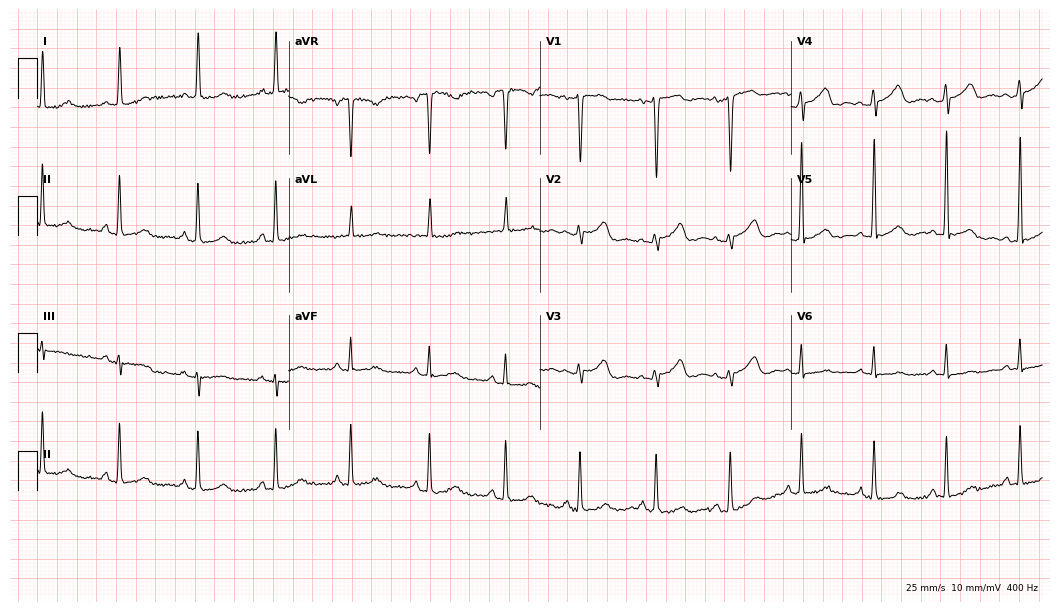
ECG — a 60-year-old female patient. Screened for six findings — first-degree AV block, right bundle branch block (RBBB), left bundle branch block (LBBB), sinus bradycardia, atrial fibrillation (AF), sinus tachycardia — none is recorded. Findings outside these six are not listed.